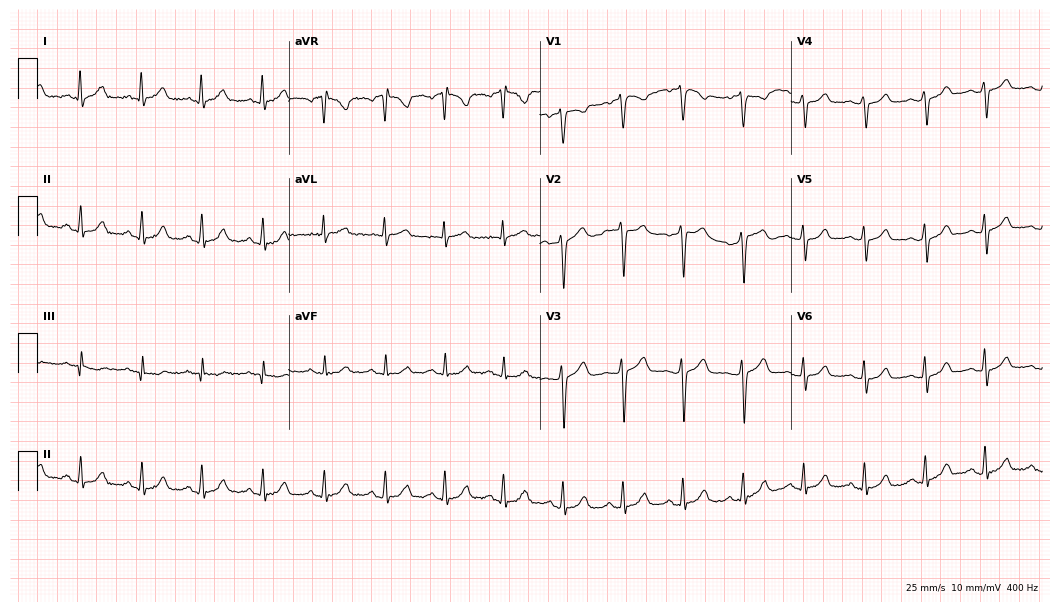
Standard 12-lead ECG recorded from a 36-year-old female (10.2-second recording at 400 Hz). Read as a normal ECG.